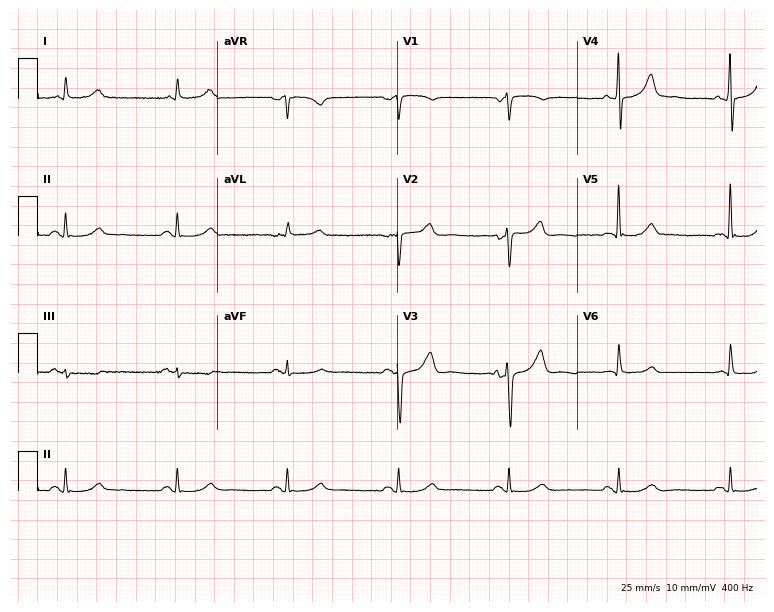
12-lead ECG from a 78-year-old male. Recorded interpretation: within normal limits.